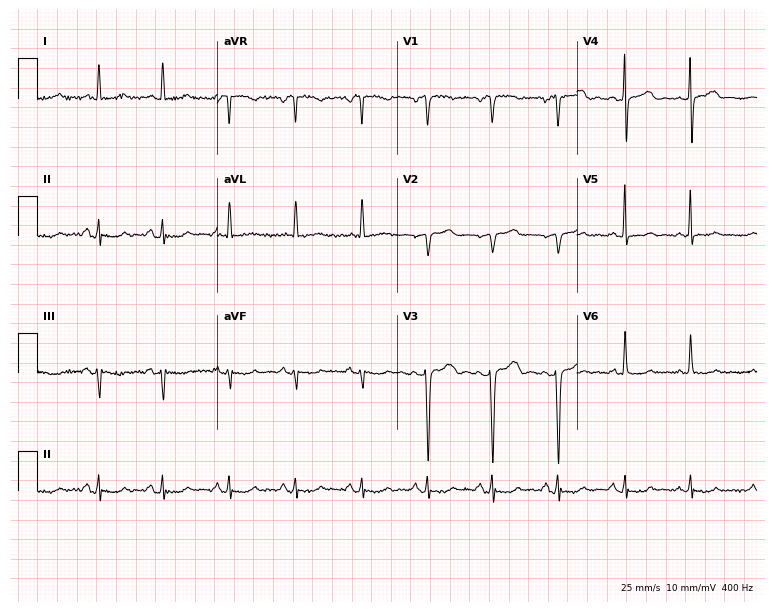
Resting 12-lead electrocardiogram. Patient: a 64-year-old female. None of these six findings is recorded: first-degree AV block, right bundle branch block (RBBB), left bundle branch block (LBBB), sinus bradycardia, atrial fibrillation (AF), sinus tachycardia.